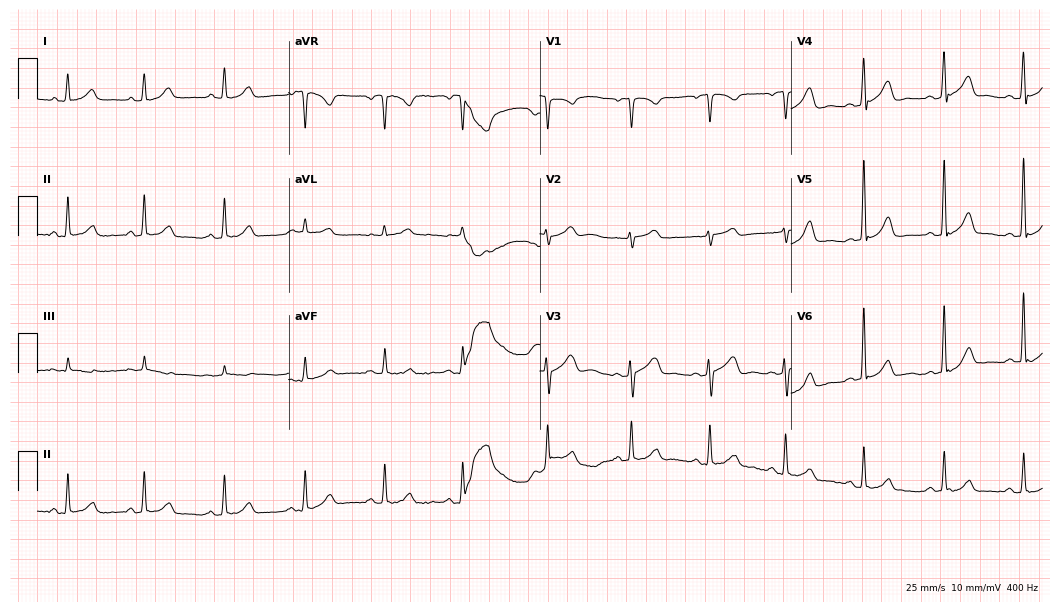
12-lead ECG from a woman, 35 years old. Recorded interpretation: within normal limits.